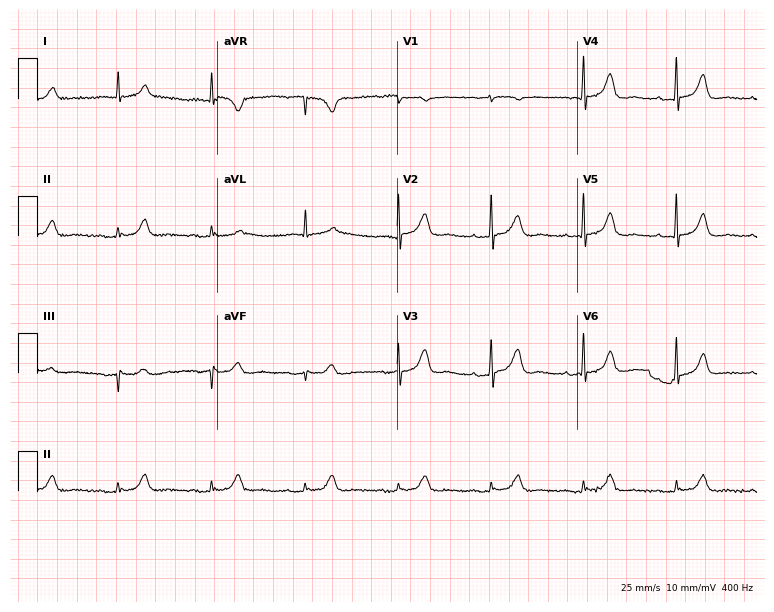
12-lead ECG from an 82-year-old female. Recorded interpretation: within normal limits.